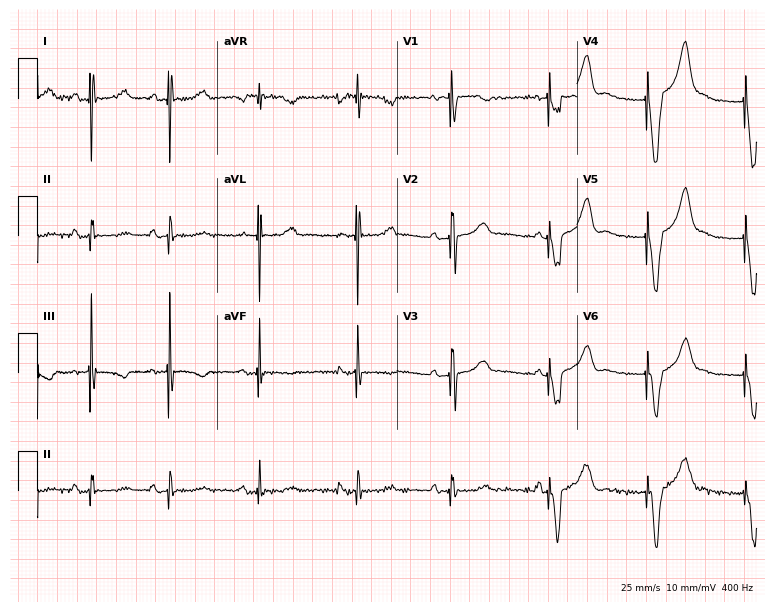
ECG (7.3-second recording at 400 Hz) — a female patient, 54 years old. Screened for six findings — first-degree AV block, right bundle branch block, left bundle branch block, sinus bradycardia, atrial fibrillation, sinus tachycardia — none is recorded. Findings outside these six are not listed.